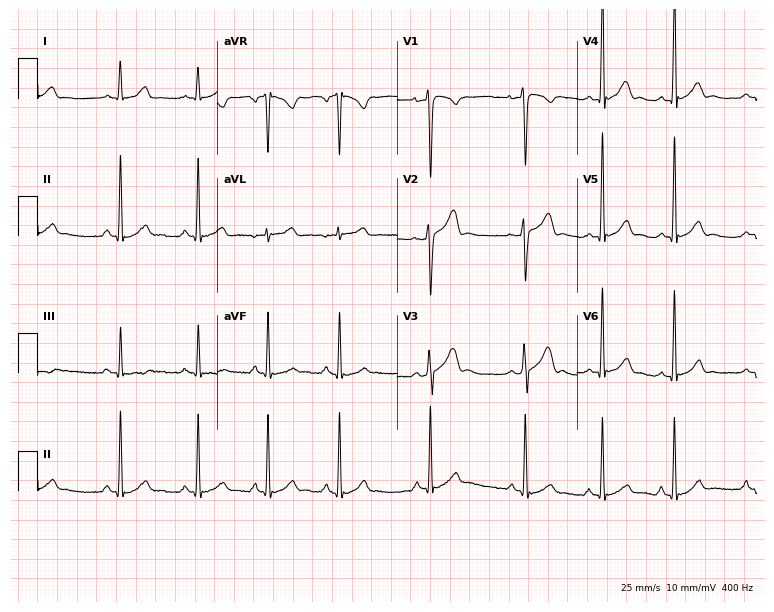
12-lead ECG from a male, 24 years old (7.3-second recording at 400 Hz). Recorded interpretation: within normal limits.